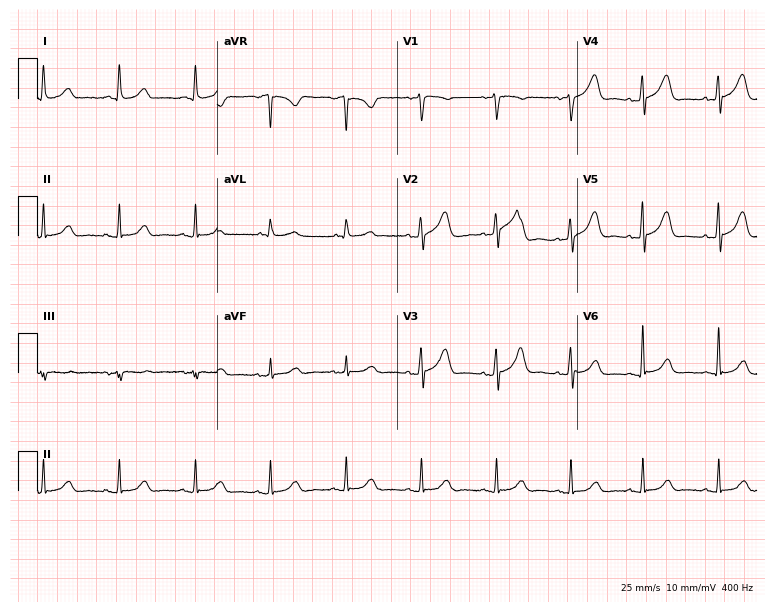
Resting 12-lead electrocardiogram (7.3-second recording at 400 Hz). Patient: a 76-year-old female. Read as a normal ECG.